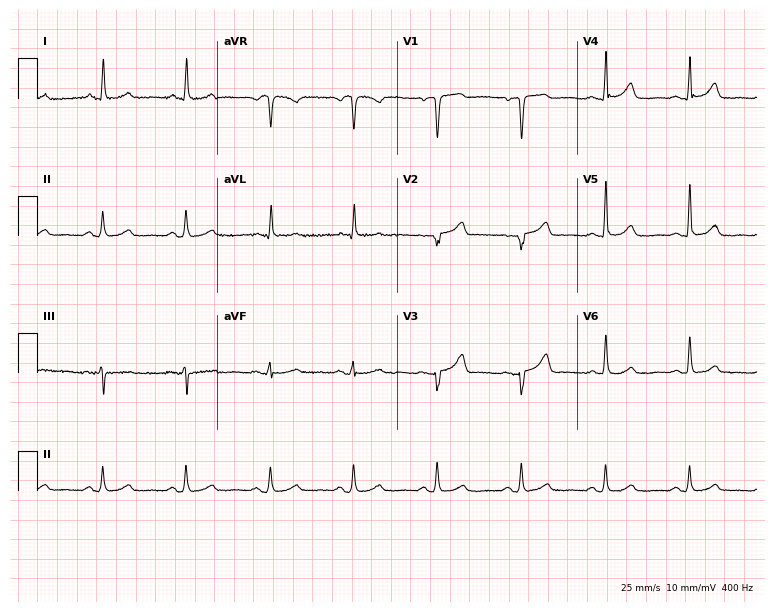
Resting 12-lead electrocardiogram. Patient: a female, 55 years old. None of these six findings is recorded: first-degree AV block, right bundle branch block, left bundle branch block, sinus bradycardia, atrial fibrillation, sinus tachycardia. Other findings, if any, are not listed.